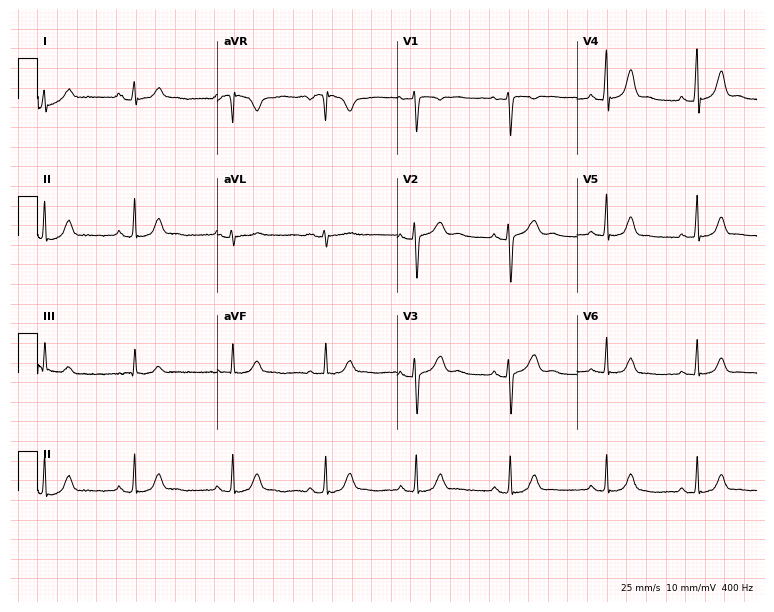
12-lead ECG from a 29-year-old female. Recorded interpretation: within normal limits.